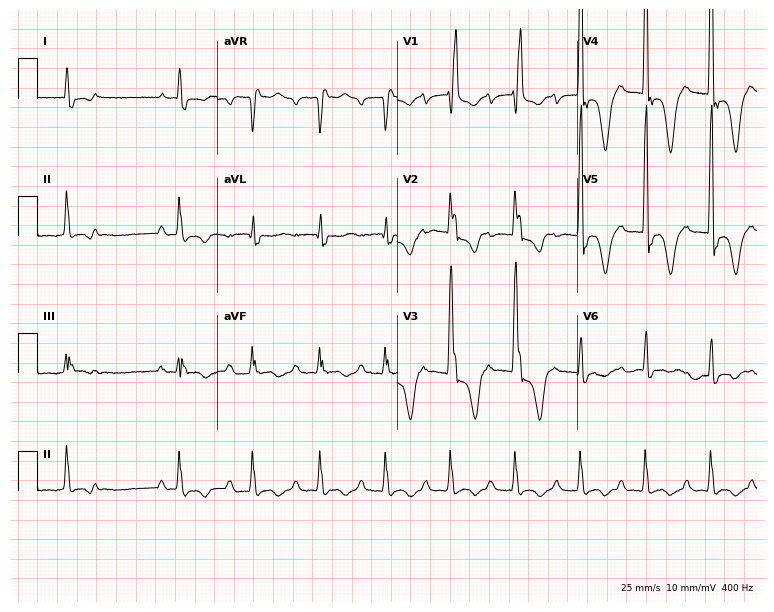
12-lead ECG from an 83-year-old male patient. Shows first-degree AV block, right bundle branch block.